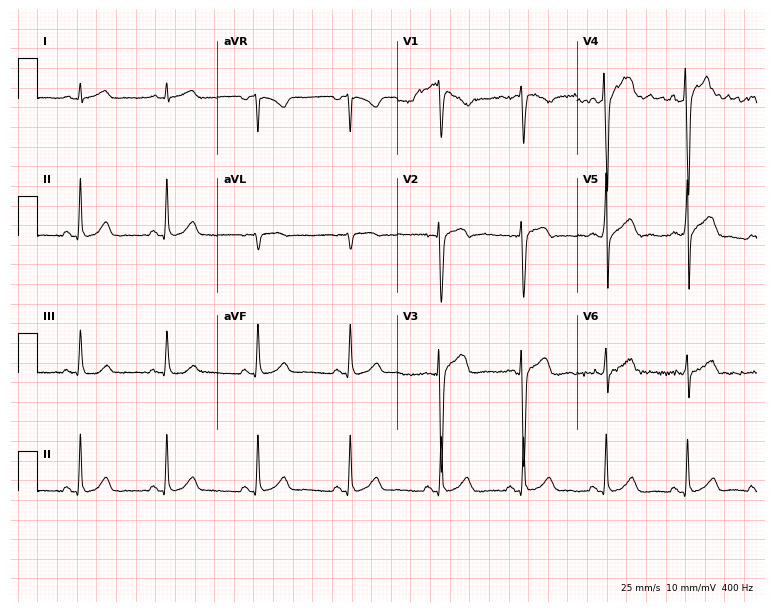
Resting 12-lead electrocardiogram. Patient: a 33-year-old male. None of these six findings is recorded: first-degree AV block, right bundle branch block, left bundle branch block, sinus bradycardia, atrial fibrillation, sinus tachycardia. Findings outside these six are not listed.